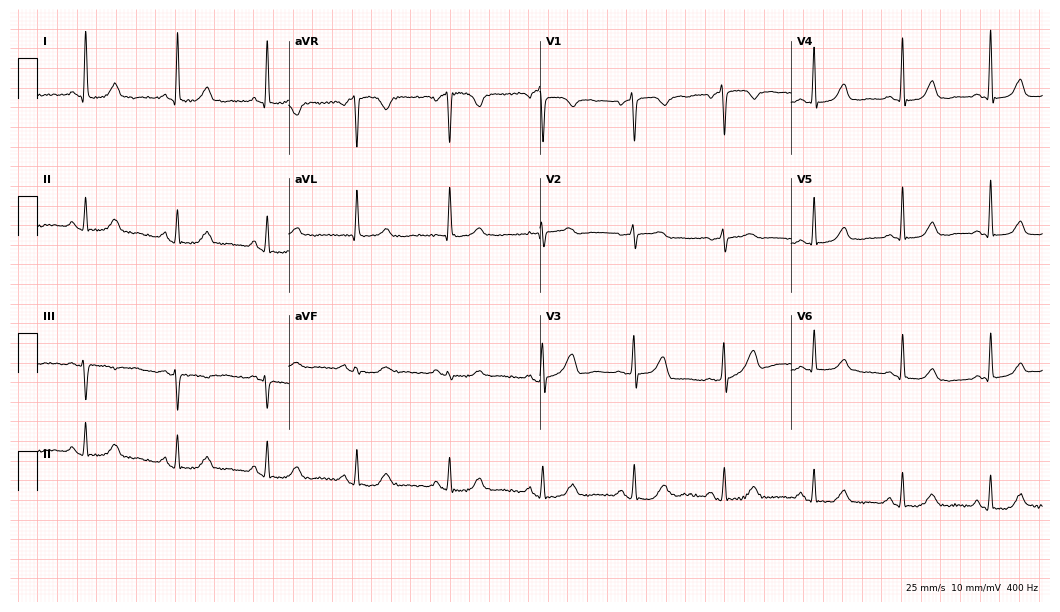
12-lead ECG from a 76-year-old female patient (10.2-second recording at 400 Hz). Recorded interpretation: within normal limits.